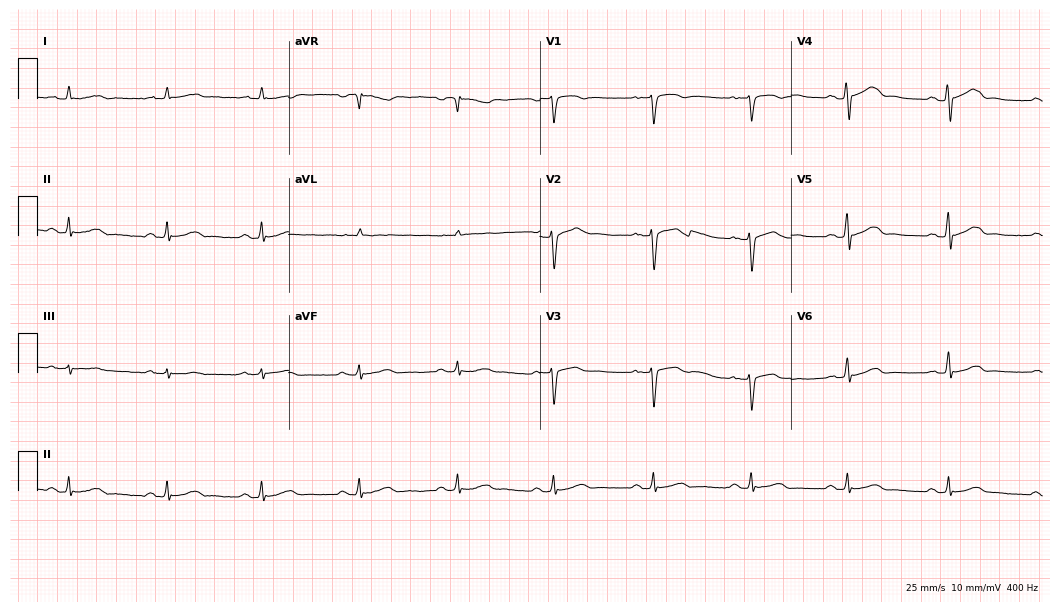
Standard 12-lead ECG recorded from a male, 50 years old (10.2-second recording at 400 Hz). None of these six findings is recorded: first-degree AV block, right bundle branch block, left bundle branch block, sinus bradycardia, atrial fibrillation, sinus tachycardia.